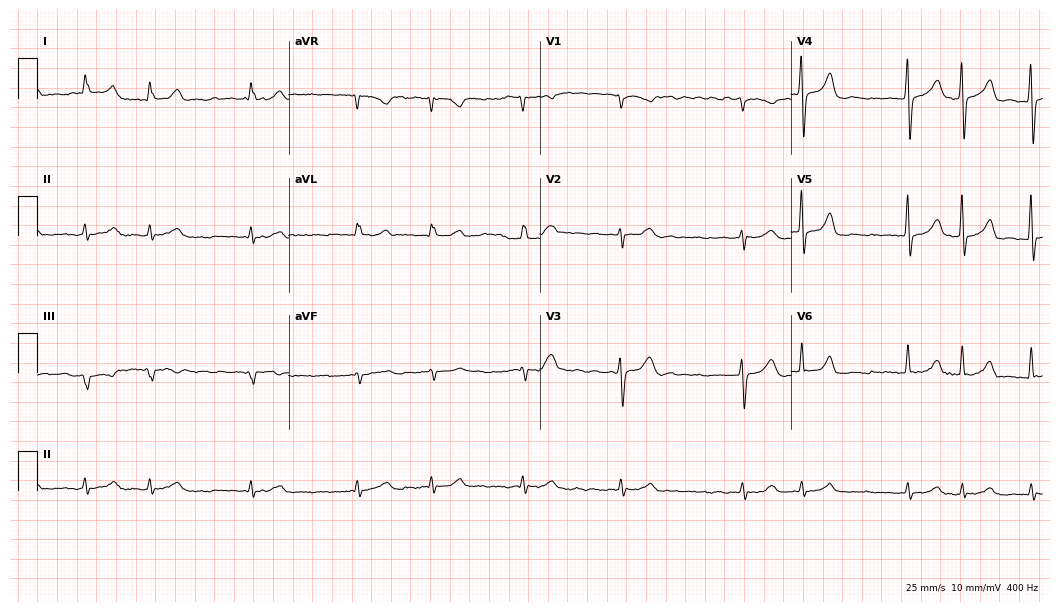
12-lead ECG (10.2-second recording at 400 Hz) from a man, 74 years old. Screened for six findings — first-degree AV block, right bundle branch block, left bundle branch block, sinus bradycardia, atrial fibrillation, sinus tachycardia — none is recorded. Other findings, if any, are not listed.